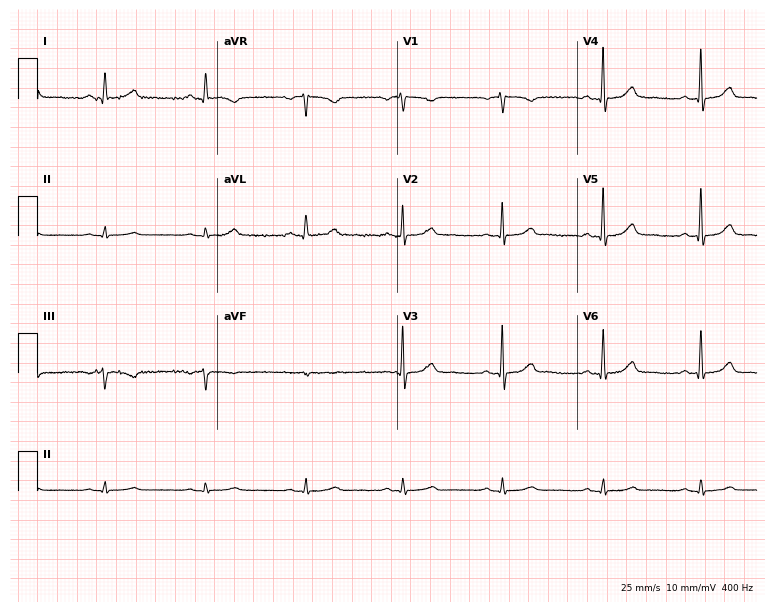
Standard 12-lead ECG recorded from a male, 73 years old. None of these six findings is recorded: first-degree AV block, right bundle branch block (RBBB), left bundle branch block (LBBB), sinus bradycardia, atrial fibrillation (AF), sinus tachycardia. Other findings, if any, are not listed.